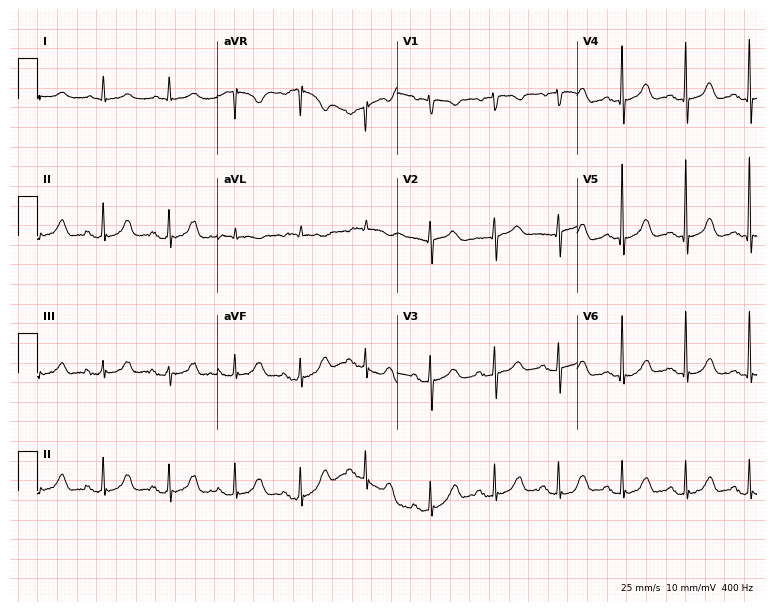
12-lead ECG from a 66-year-old woman. Labelled as a normal ECG.